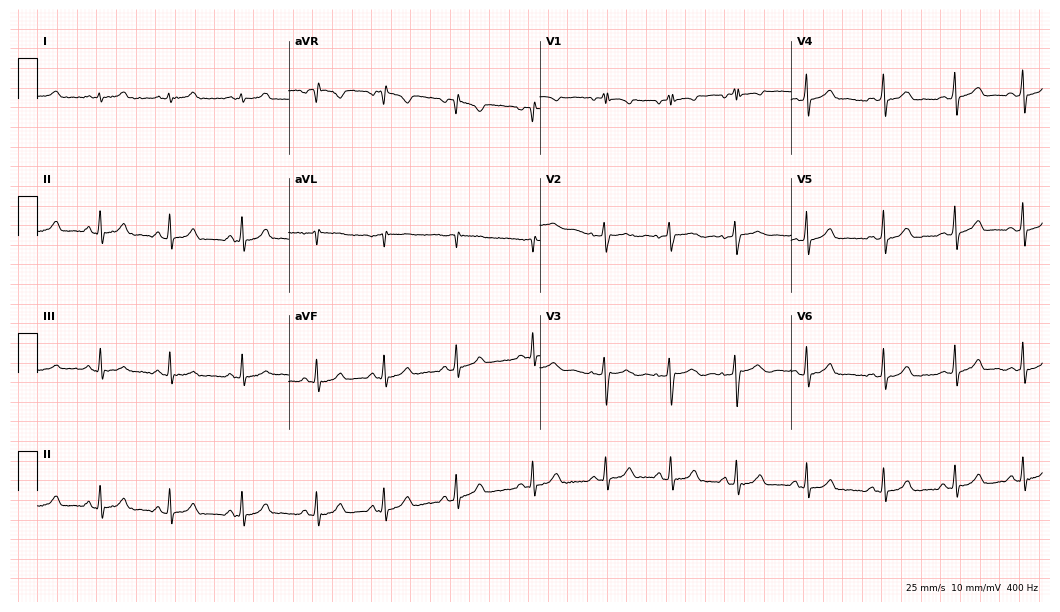
12-lead ECG from a 24-year-old female. No first-degree AV block, right bundle branch block, left bundle branch block, sinus bradycardia, atrial fibrillation or sinus tachycardia recorded for this tracing.